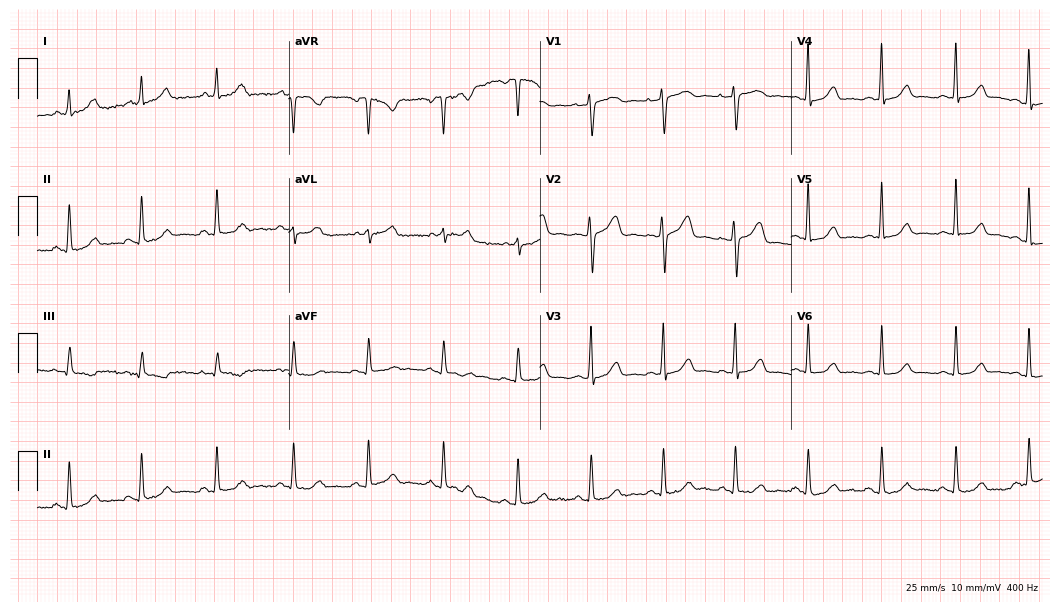
Resting 12-lead electrocardiogram (10.2-second recording at 400 Hz). Patient: a 42-year-old female. Read as a normal ECG.